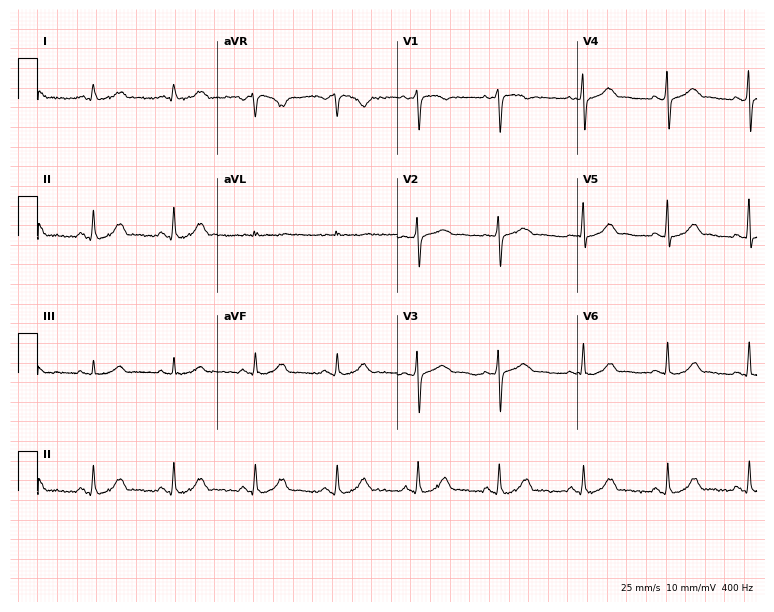
Electrocardiogram (7.3-second recording at 400 Hz), a 49-year-old woman. Of the six screened findings (first-degree AV block, right bundle branch block, left bundle branch block, sinus bradycardia, atrial fibrillation, sinus tachycardia), none is recorded.